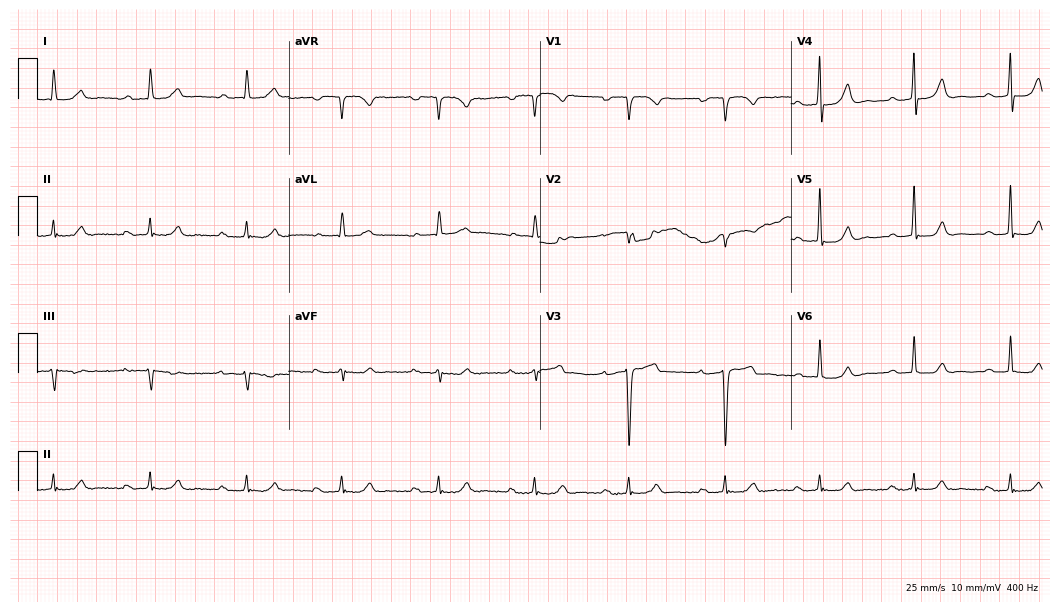
12-lead ECG from a 64-year-old man. Shows first-degree AV block.